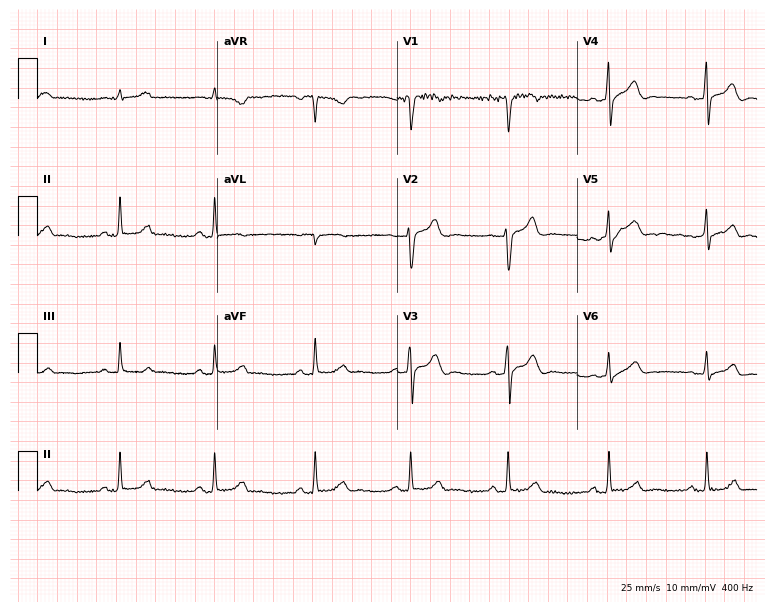
Standard 12-lead ECG recorded from a male patient, 30 years old (7.3-second recording at 400 Hz). Read as a normal ECG.